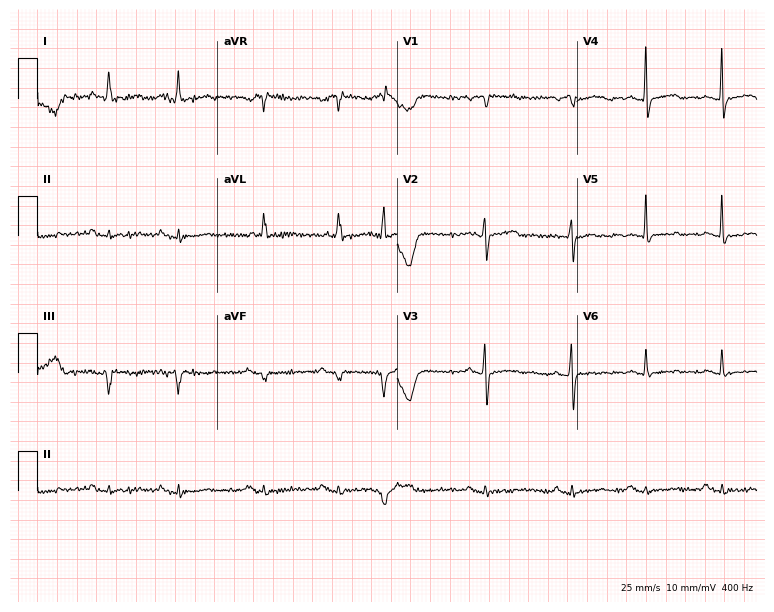
Electrocardiogram, a 73-year-old female. Of the six screened findings (first-degree AV block, right bundle branch block (RBBB), left bundle branch block (LBBB), sinus bradycardia, atrial fibrillation (AF), sinus tachycardia), none is recorded.